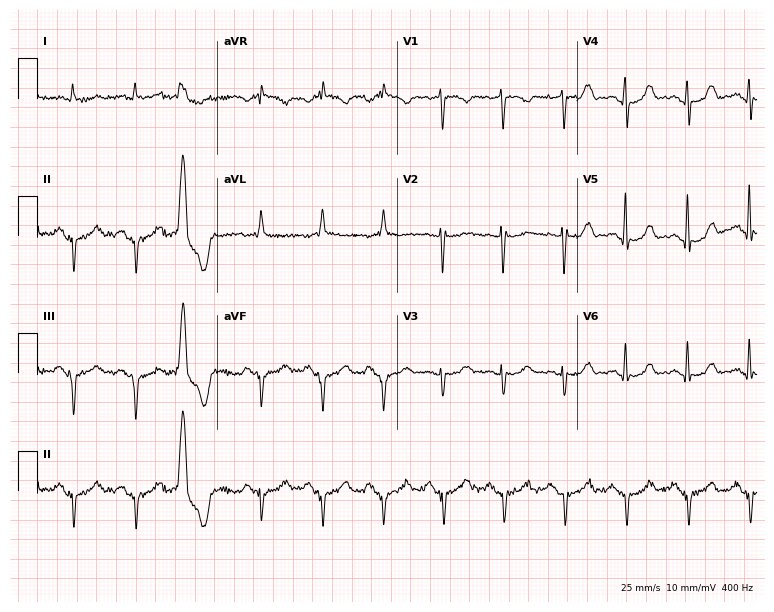
ECG (7.3-second recording at 400 Hz) — a 71-year-old male patient. Screened for six findings — first-degree AV block, right bundle branch block (RBBB), left bundle branch block (LBBB), sinus bradycardia, atrial fibrillation (AF), sinus tachycardia — none is recorded. Findings outside these six are not listed.